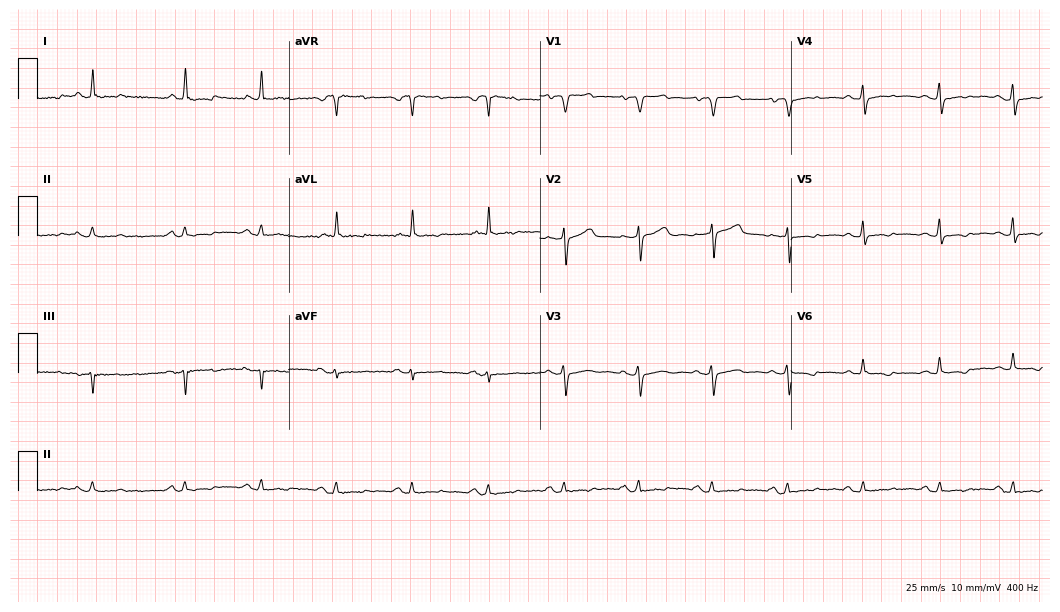
ECG — a 65-year-old female patient. Screened for six findings — first-degree AV block, right bundle branch block, left bundle branch block, sinus bradycardia, atrial fibrillation, sinus tachycardia — none is recorded.